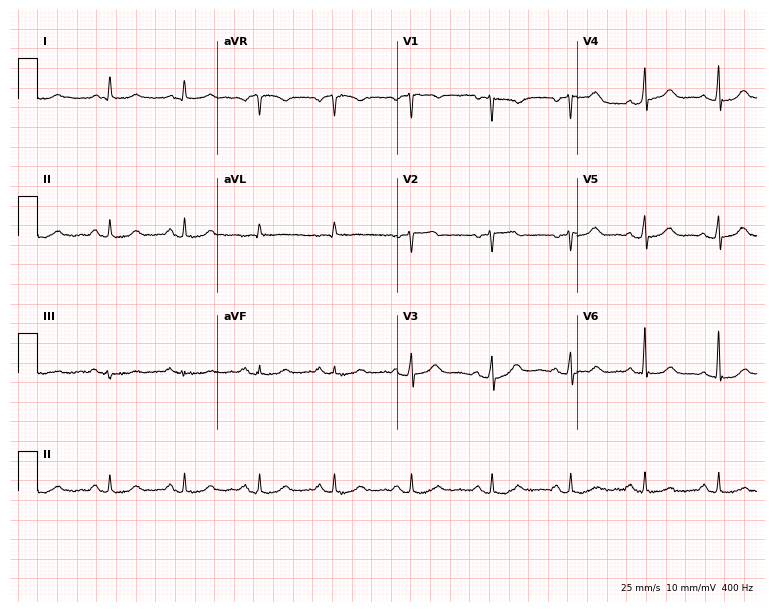
Standard 12-lead ECG recorded from a 55-year-old female. None of these six findings is recorded: first-degree AV block, right bundle branch block (RBBB), left bundle branch block (LBBB), sinus bradycardia, atrial fibrillation (AF), sinus tachycardia. Findings outside these six are not listed.